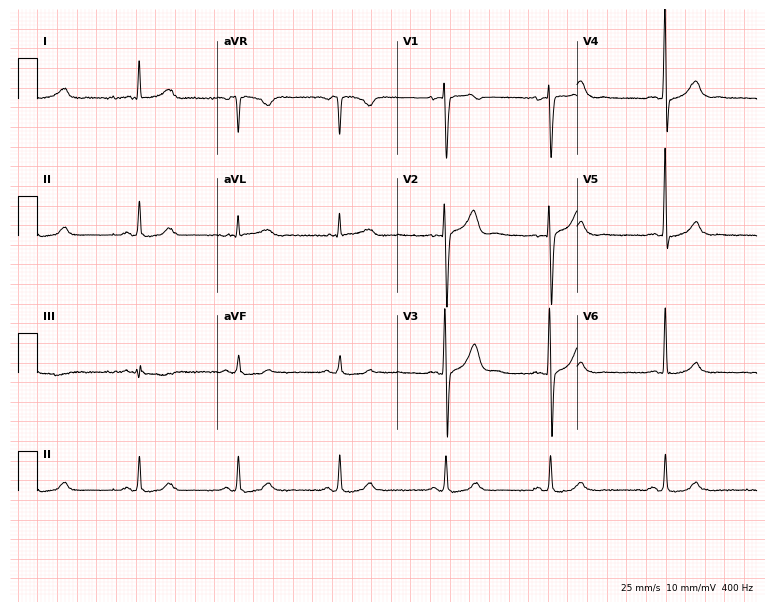
Resting 12-lead electrocardiogram (7.3-second recording at 400 Hz). Patient: a man, 40 years old. None of these six findings is recorded: first-degree AV block, right bundle branch block, left bundle branch block, sinus bradycardia, atrial fibrillation, sinus tachycardia.